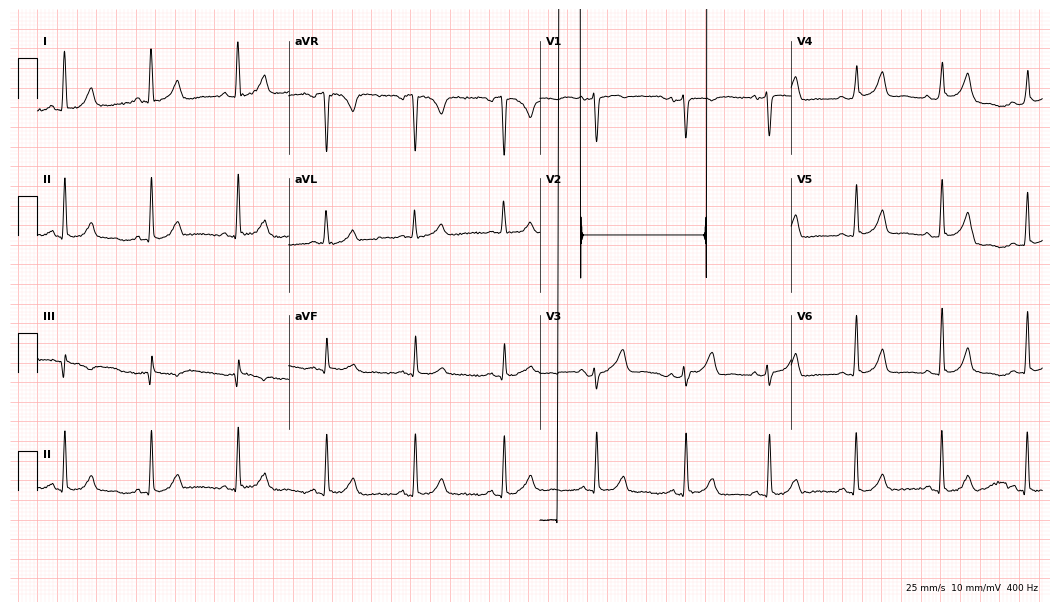
12-lead ECG from a 70-year-old female patient. No first-degree AV block, right bundle branch block (RBBB), left bundle branch block (LBBB), sinus bradycardia, atrial fibrillation (AF) or sinus tachycardia recorded for this tracing. Findings outside these six are not listed.